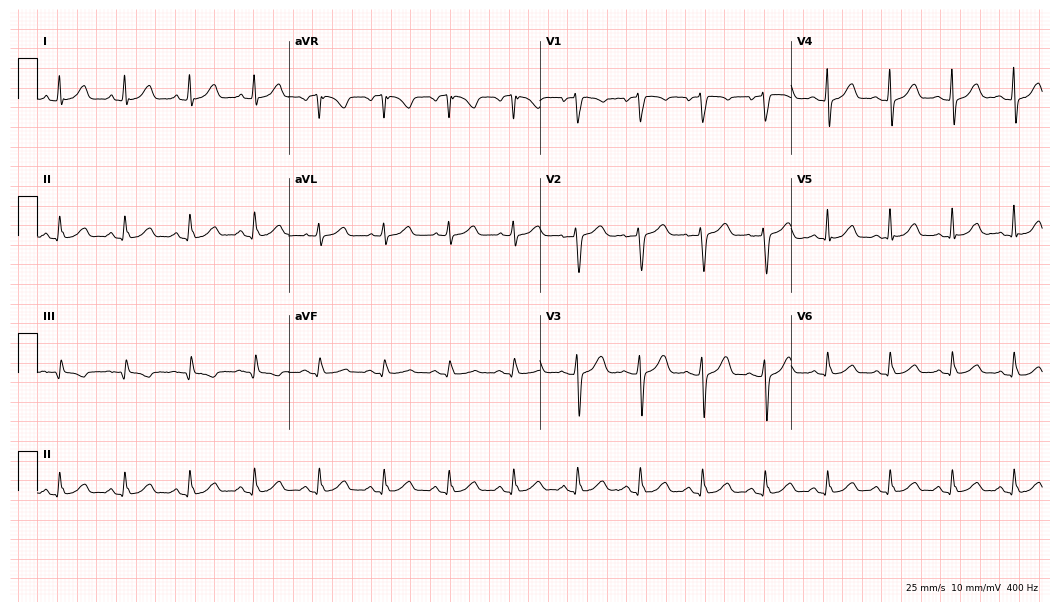
12-lead ECG from a 56-year-old female. Screened for six findings — first-degree AV block, right bundle branch block (RBBB), left bundle branch block (LBBB), sinus bradycardia, atrial fibrillation (AF), sinus tachycardia — none is recorded.